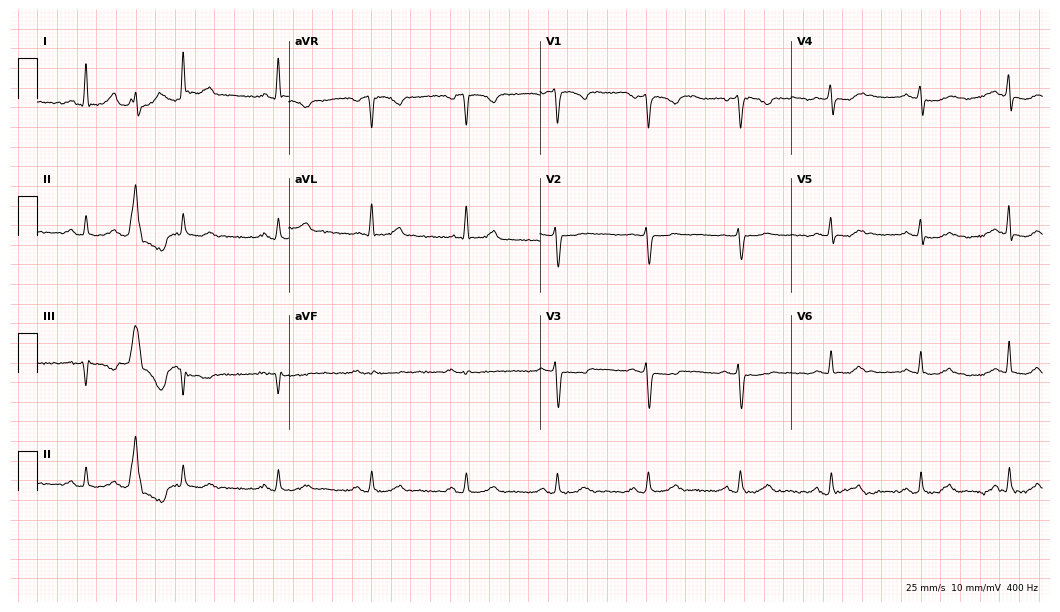
Resting 12-lead electrocardiogram (10.2-second recording at 400 Hz). Patient: a female, 56 years old. Read as a normal ECG.